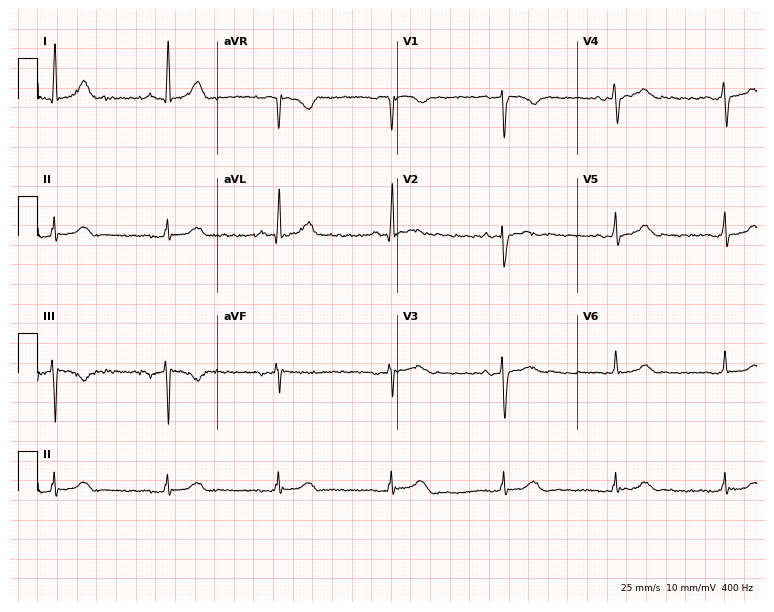
Resting 12-lead electrocardiogram (7.3-second recording at 400 Hz). Patient: a 61-year-old female. Read as a normal ECG.